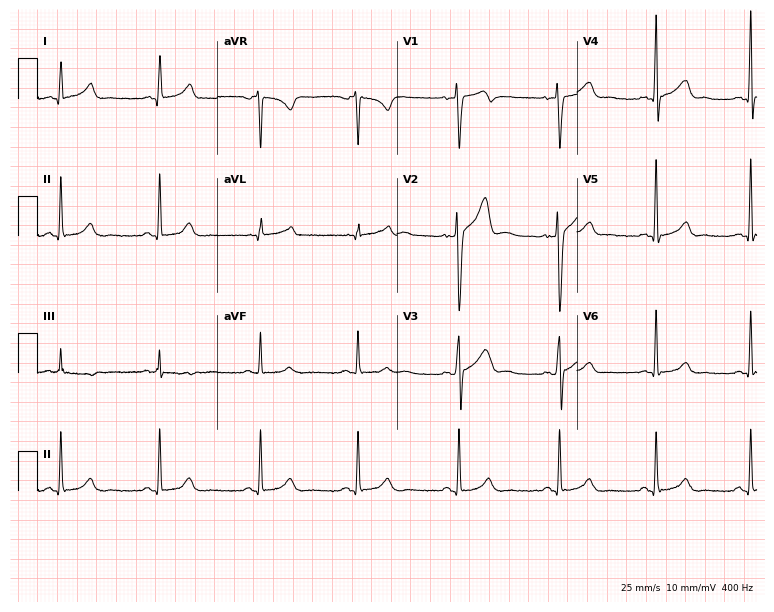
12-lead ECG from a 35-year-old man. Labelled as a normal ECG.